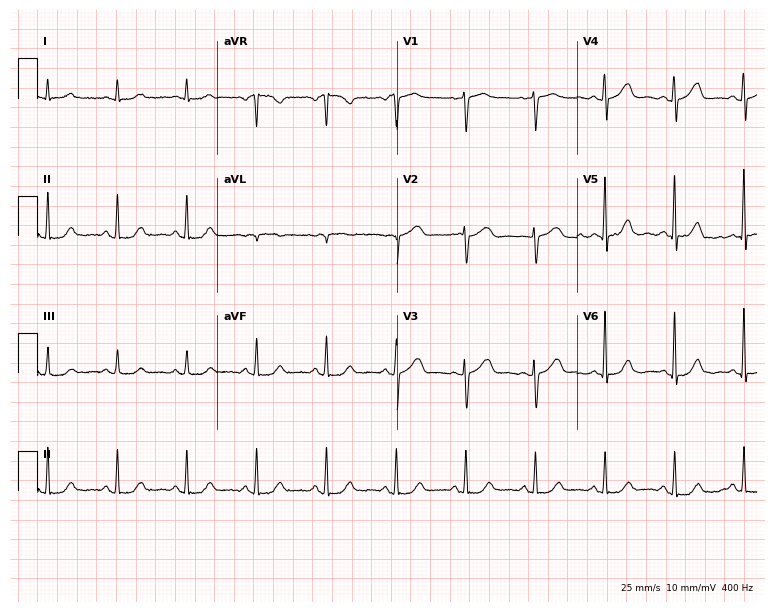
12-lead ECG from a 69-year-old woman. Labelled as a normal ECG.